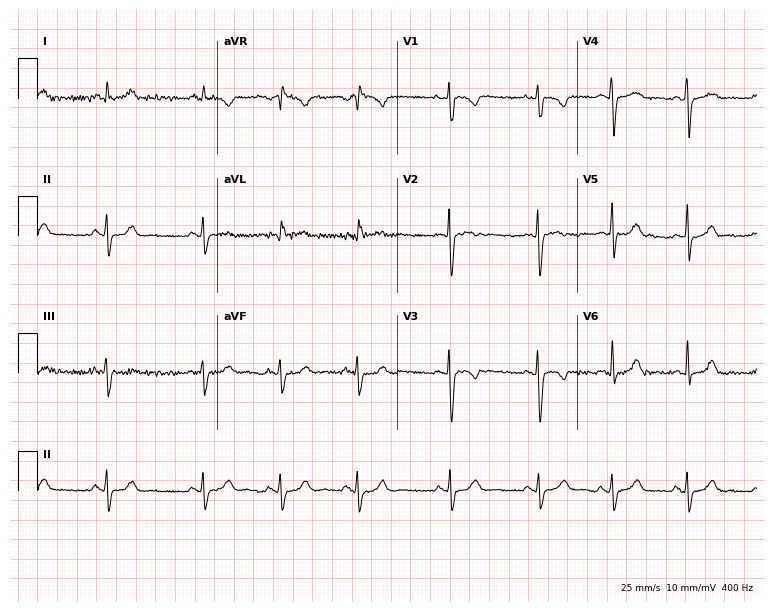
Electrocardiogram (7.3-second recording at 400 Hz), a 25-year-old female. Of the six screened findings (first-degree AV block, right bundle branch block, left bundle branch block, sinus bradycardia, atrial fibrillation, sinus tachycardia), none is recorded. Only these six findings were labelled.